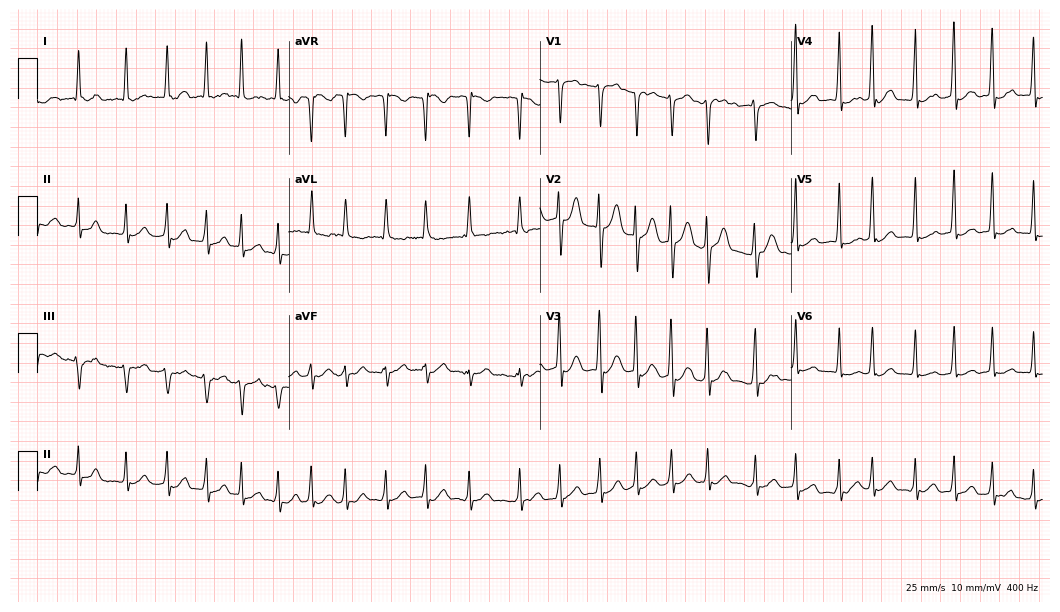
12-lead ECG (10.2-second recording at 400 Hz) from a man, 34 years old. Findings include atrial fibrillation.